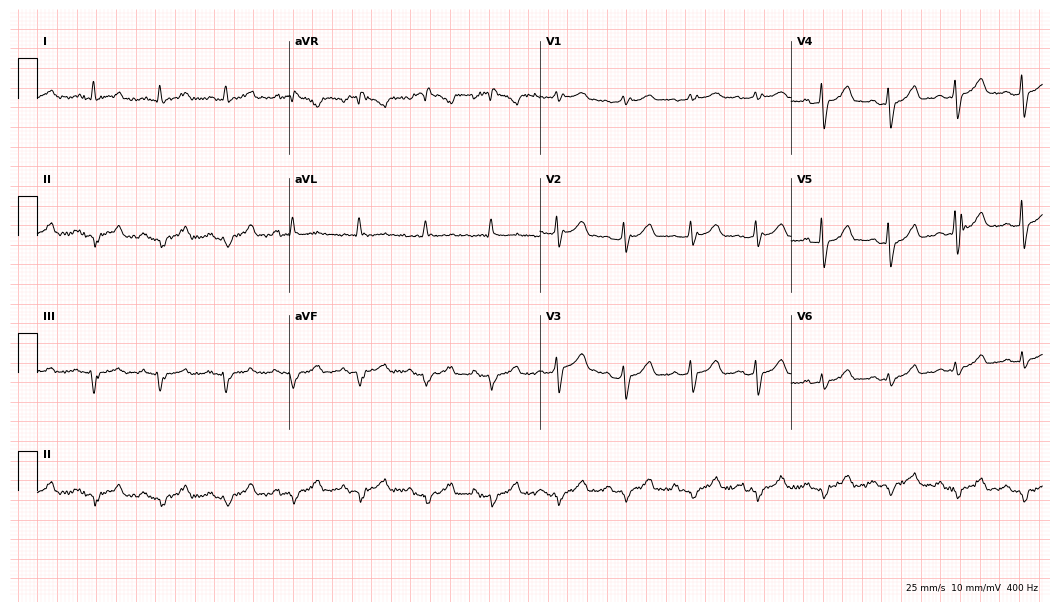
12-lead ECG from a male patient, 68 years old. Screened for six findings — first-degree AV block, right bundle branch block, left bundle branch block, sinus bradycardia, atrial fibrillation, sinus tachycardia — none is recorded.